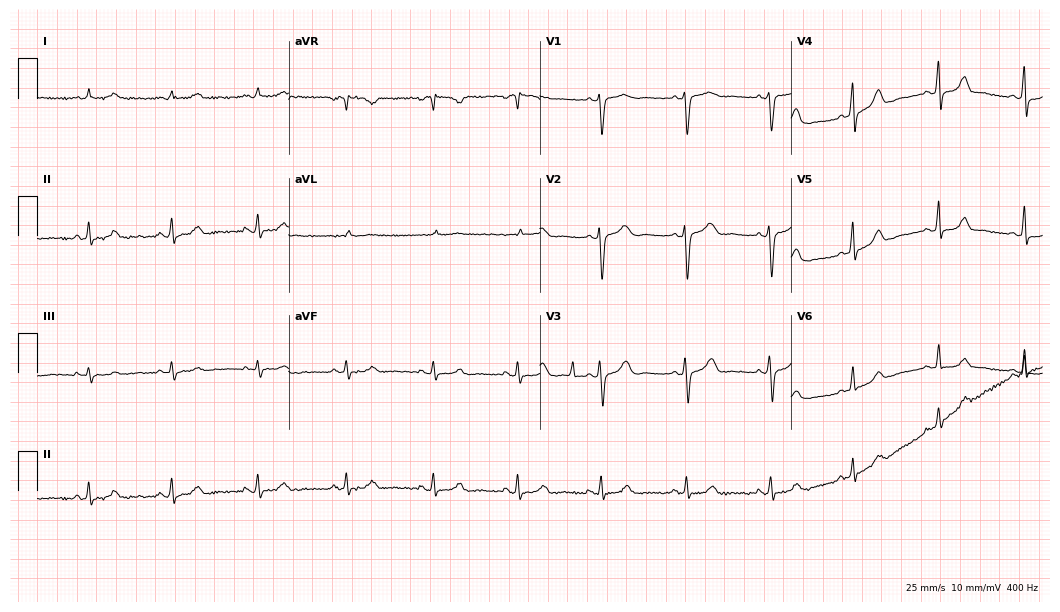
ECG (10.2-second recording at 400 Hz) — a 51-year-old female. Screened for six findings — first-degree AV block, right bundle branch block, left bundle branch block, sinus bradycardia, atrial fibrillation, sinus tachycardia — none is recorded.